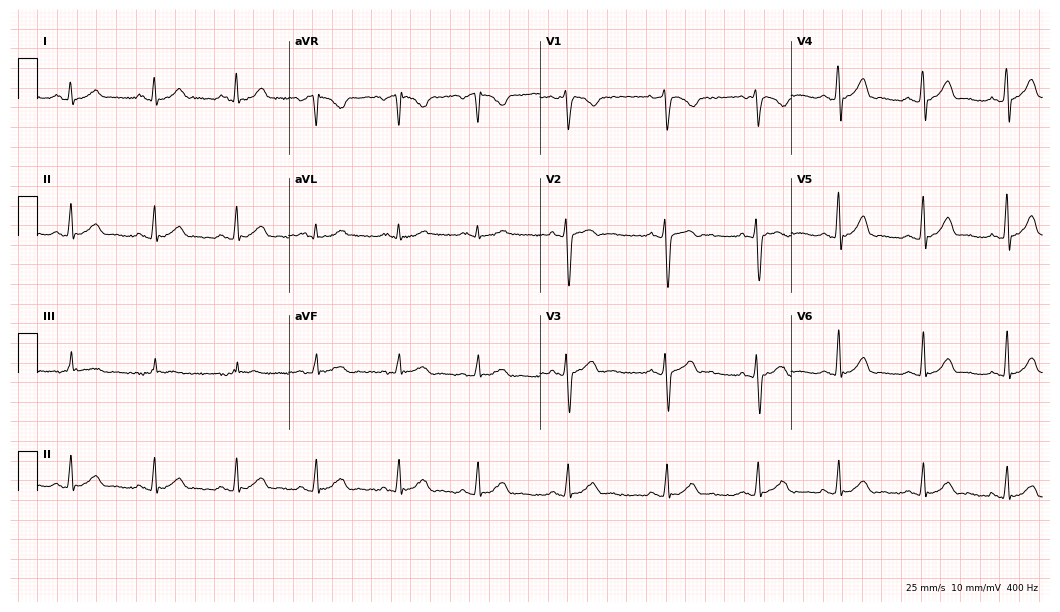
Standard 12-lead ECG recorded from a woman, 38 years old. Read as a normal ECG.